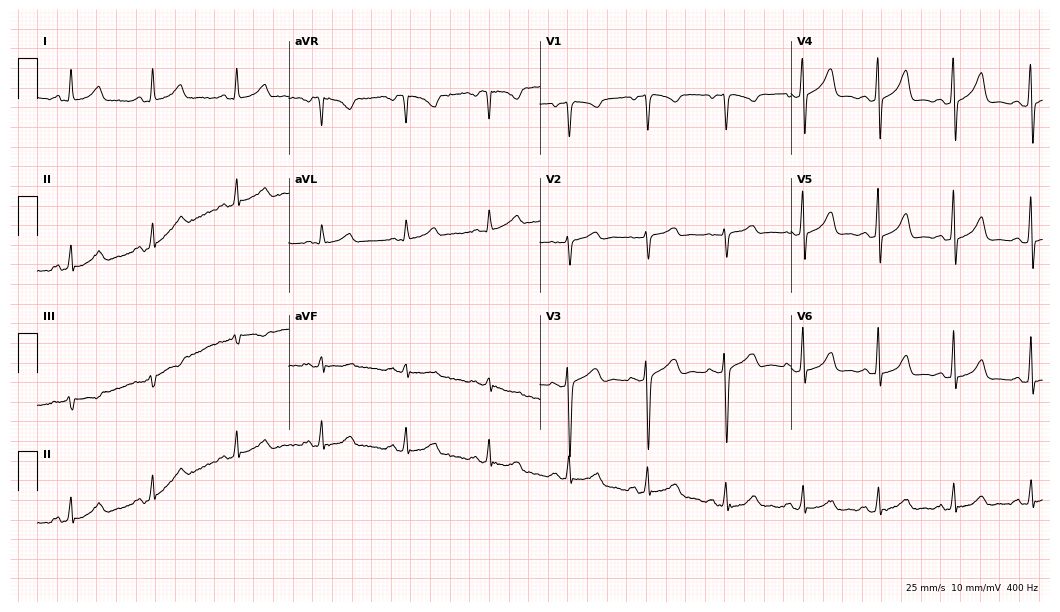
Resting 12-lead electrocardiogram. Patient: a 42-year-old female. Read as a normal ECG.